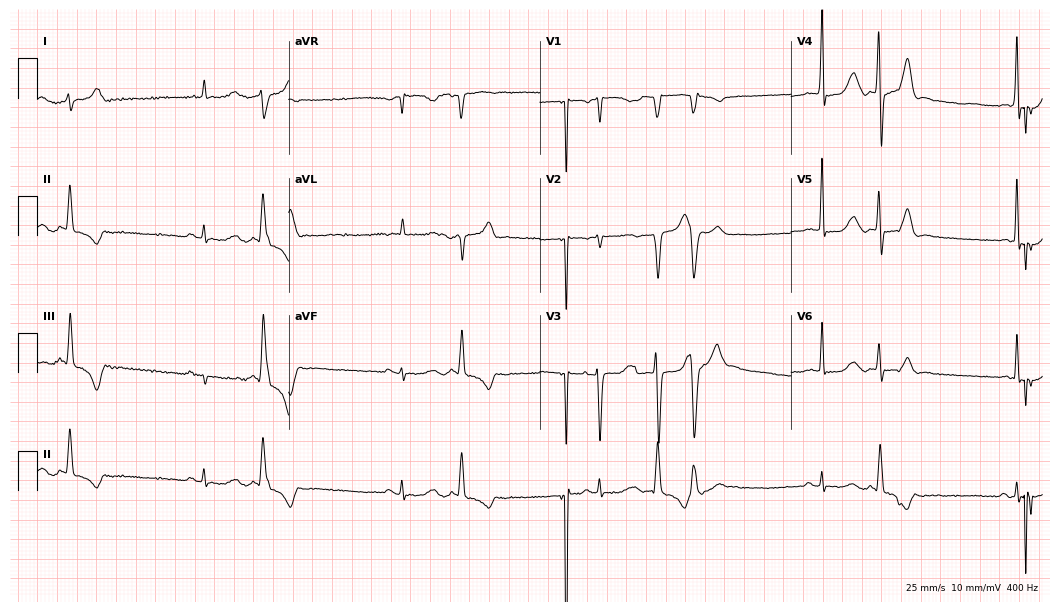
Electrocardiogram (10.2-second recording at 400 Hz), a male patient, 63 years old. Of the six screened findings (first-degree AV block, right bundle branch block, left bundle branch block, sinus bradycardia, atrial fibrillation, sinus tachycardia), none is recorded. Only these six findings were labelled.